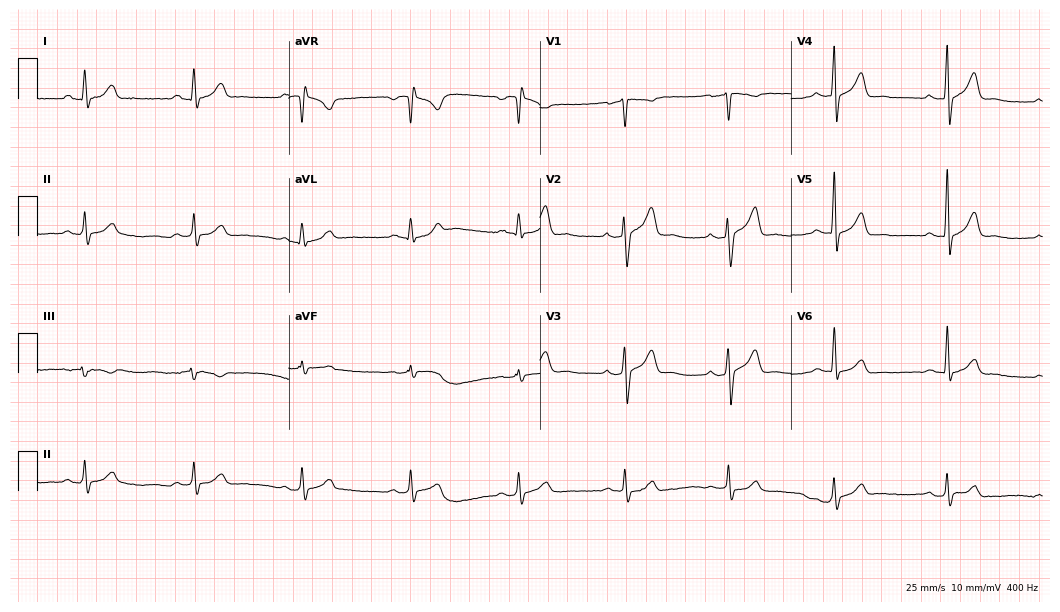
12-lead ECG (10.2-second recording at 400 Hz) from a 47-year-old male. Screened for six findings — first-degree AV block, right bundle branch block, left bundle branch block, sinus bradycardia, atrial fibrillation, sinus tachycardia — none is recorded.